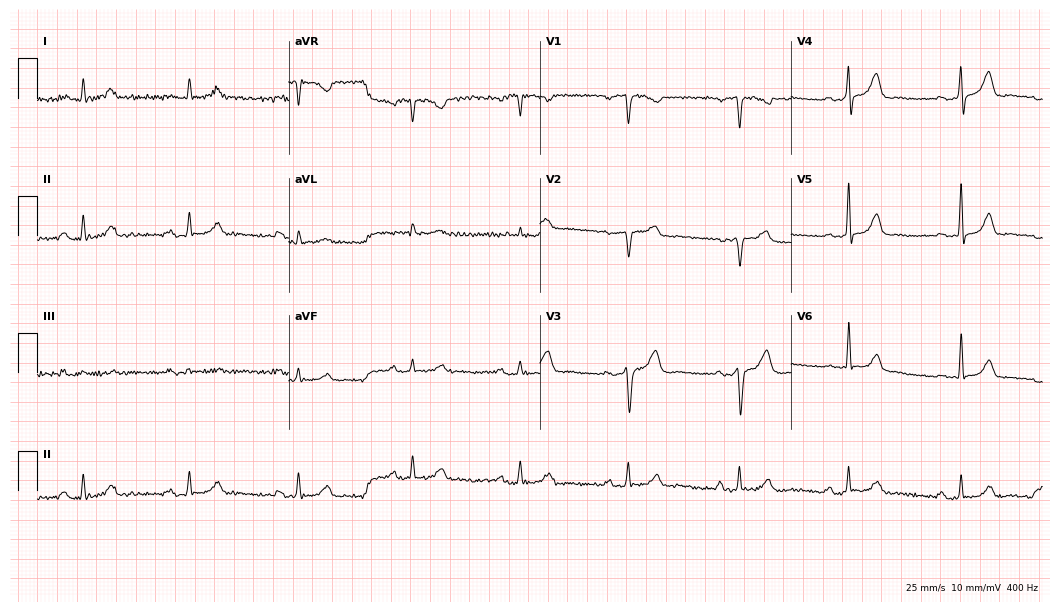
Electrocardiogram (10.2-second recording at 400 Hz), a 47-year-old male. Of the six screened findings (first-degree AV block, right bundle branch block, left bundle branch block, sinus bradycardia, atrial fibrillation, sinus tachycardia), none is recorded.